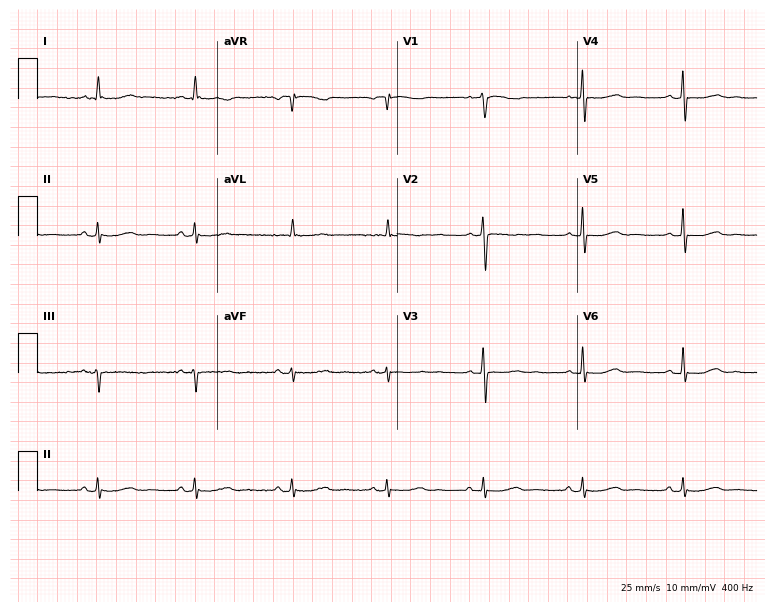
12-lead ECG from a 68-year-old female. Screened for six findings — first-degree AV block, right bundle branch block, left bundle branch block, sinus bradycardia, atrial fibrillation, sinus tachycardia — none is recorded. Only these six findings were labelled.